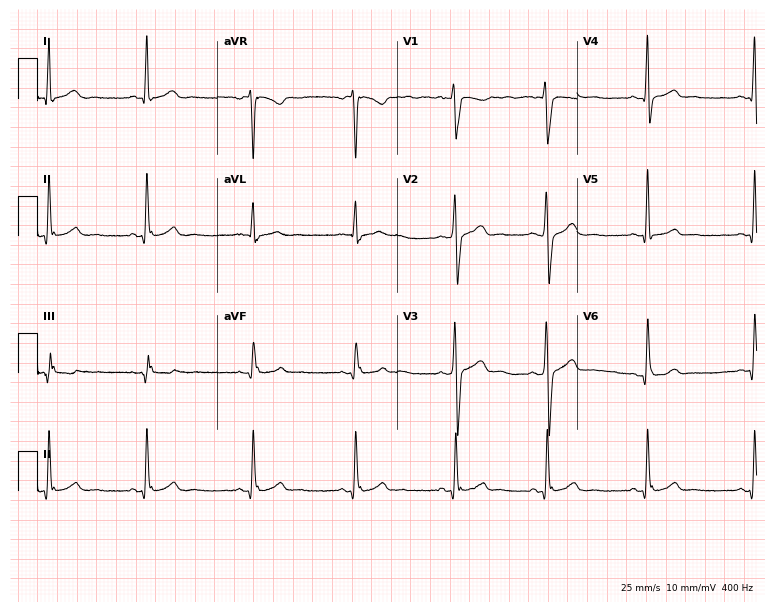
12-lead ECG from a male, 22 years old (7.3-second recording at 400 Hz). No first-degree AV block, right bundle branch block, left bundle branch block, sinus bradycardia, atrial fibrillation or sinus tachycardia recorded for this tracing.